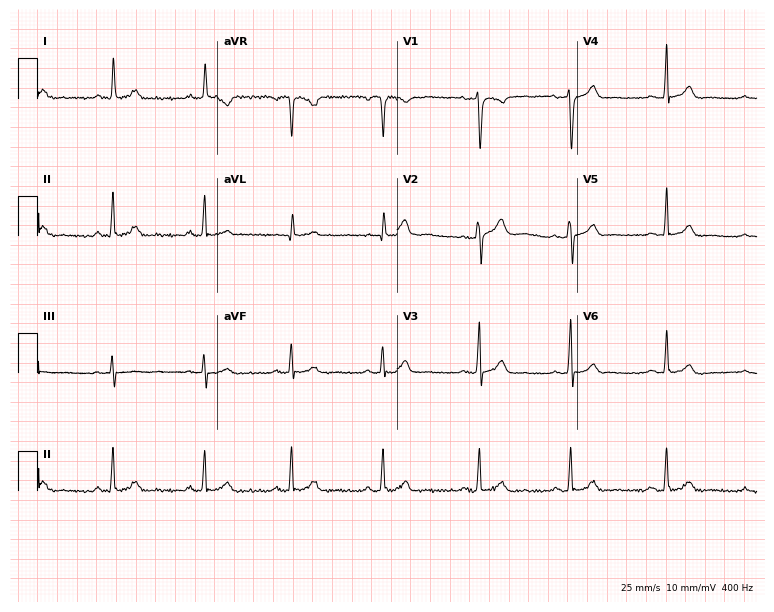
Resting 12-lead electrocardiogram. Patient: a 41-year-old woman. Read as a normal ECG.